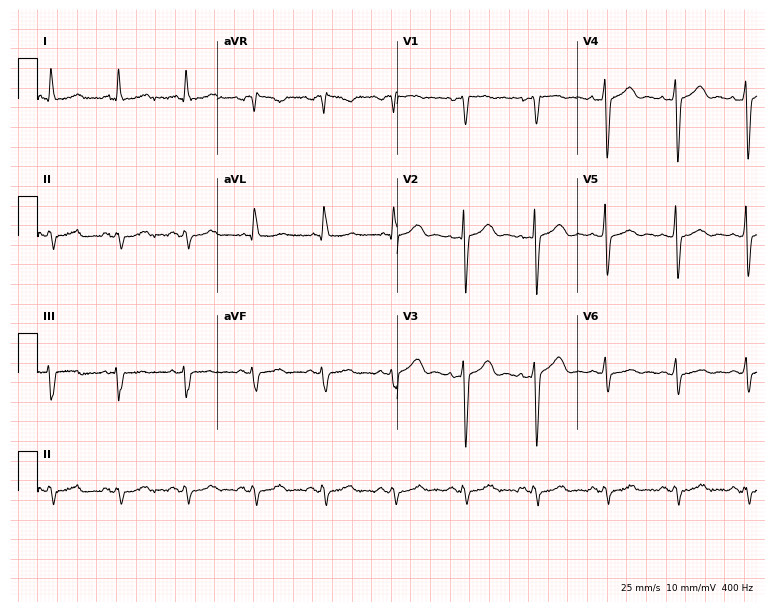
12-lead ECG from a woman, 60 years old. No first-degree AV block, right bundle branch block (RBBB), left bundle branch block (LBBB), sinus bradycardia, atrial fibrillation (AF) or sinus tachycardia recorded for this tracing. Only these six findings were labelled.